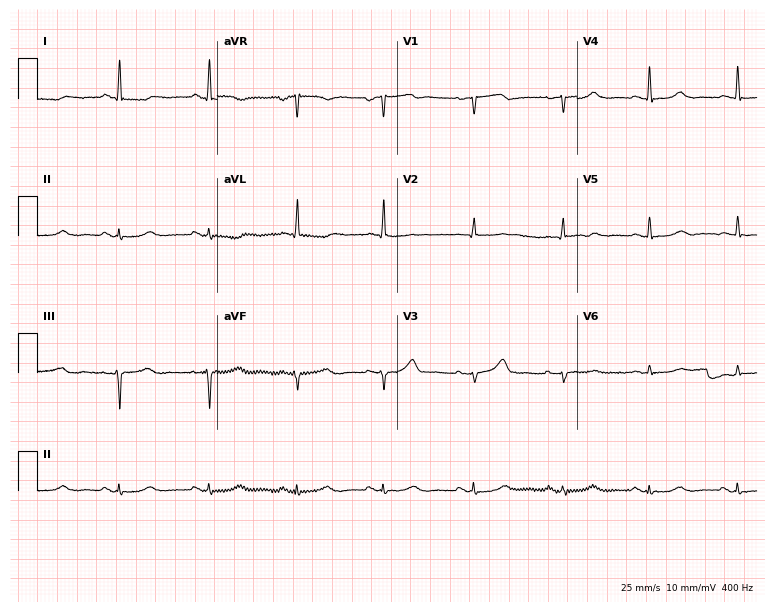
Resting 12-lead electrocardiogram. Patient: a 66-year-old female. None of these six findings is recorded: first-degree AV block, right bundle branch block (RBBB), left bundle branch block (LBBB), sinus bradycardia, atrial fibrillation (AF), sinus tachycardia. Other findings, if any, are not listed.